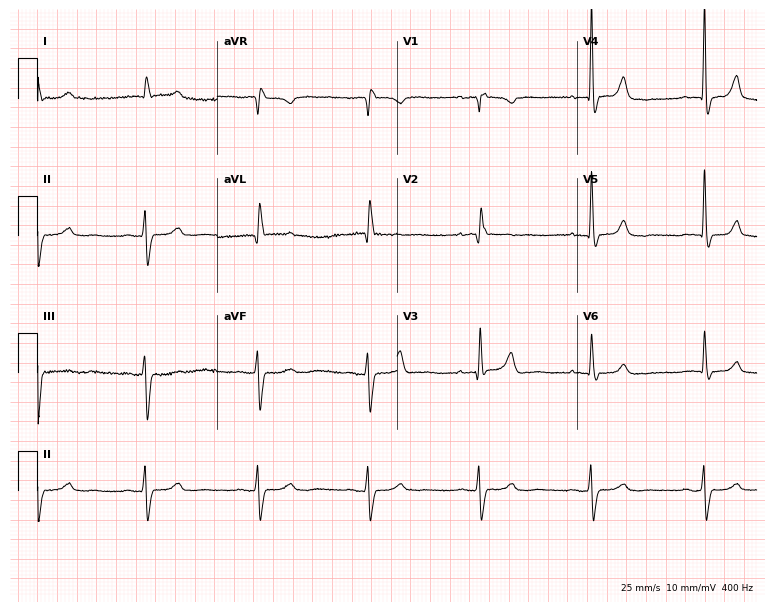
ECG (7.3-second recording at 400 Hz) — a female patient, 71 years old. Screened for six findings — first-degree AV block, right bundle branch block (RBBB), left bundle branch block (LBBB), sinus bradycardia, atrial fibrillation (AF), sinus tachycardia — none is recorded.